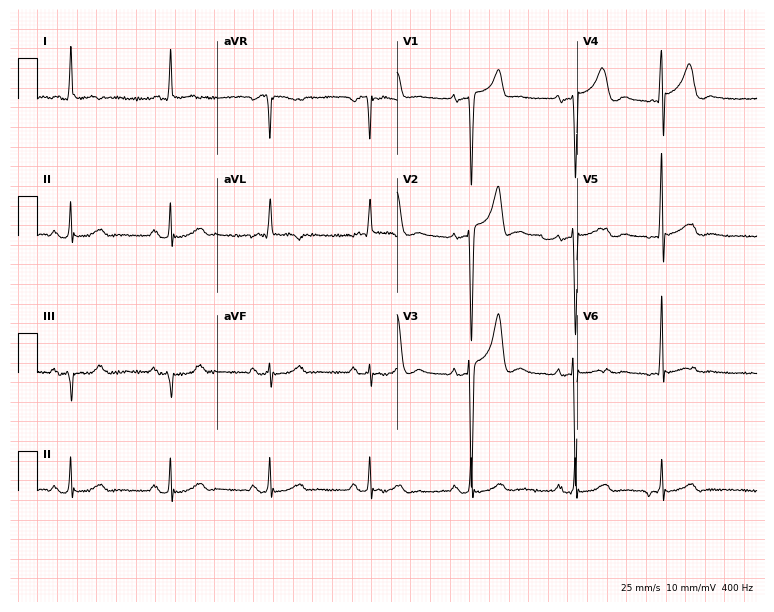
Electrocardiogram, a female patient, 76 years old. Of the six screened findings (first-degree AV block, right bundle branch block (RBBB), left bundle branch block (LBBB), sinus bradycardia, atrial fibrillation (AF), sinus tachycardia), none is recorded.